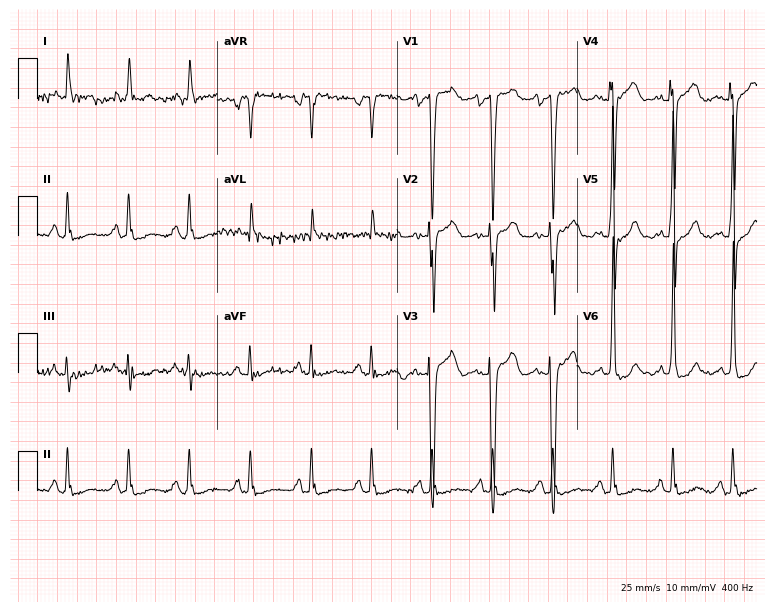
Electrocardiogram (7.3-second recording at 400 Hz), a 77-year-old male patient. Of the six screened findings (first-degree AV block, right bundle branch block (RBBB), left bundle branch block (LBBB), sinus bradycardia, atrial fibrillation (AF), sinus tachycardia), none is recorded.